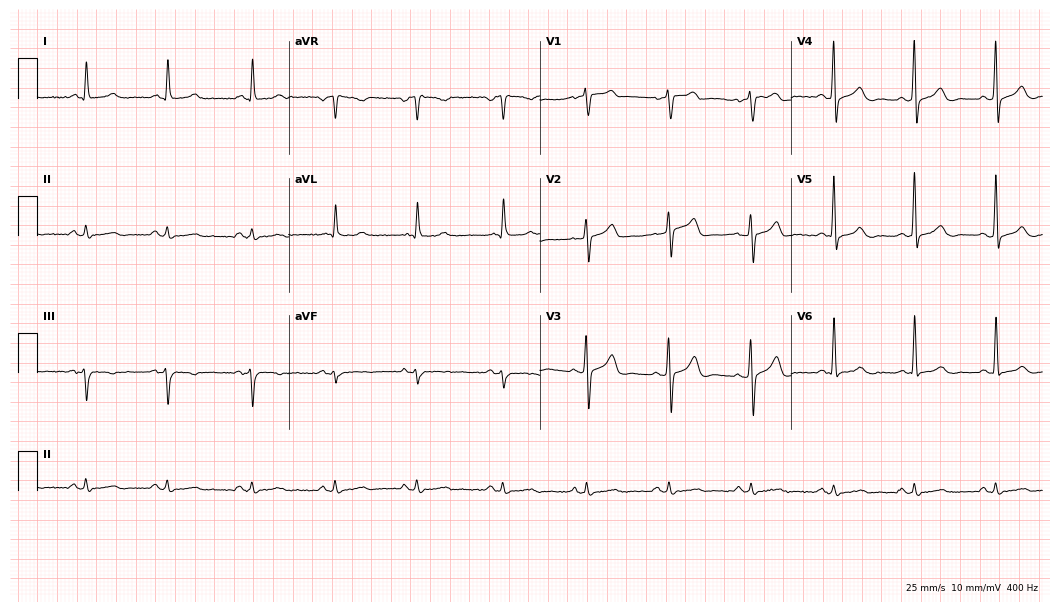
ECG — a male, 76 years old. Labelled as a normal ECG.